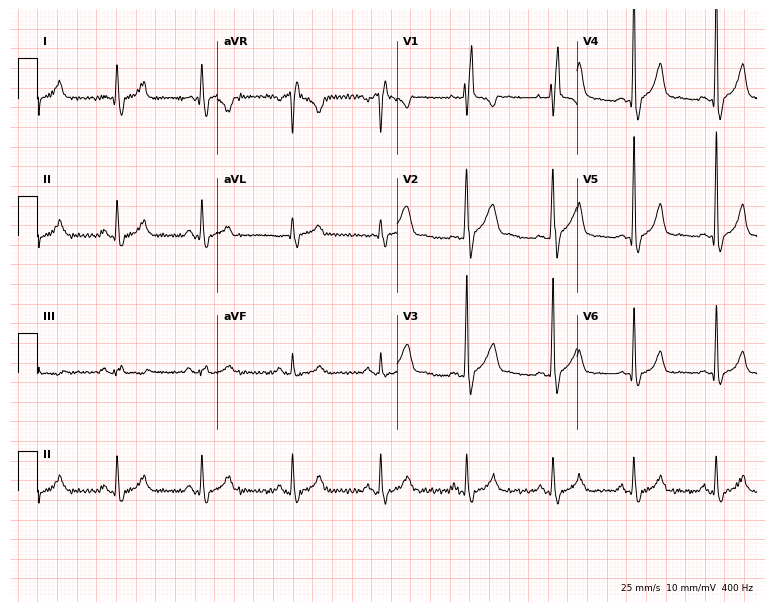
Resting 12-lead electrocardiogram (7.3-second recording at 400 Hz). Patient: a male, 47 years old. The tracing shows right bundle branch block.